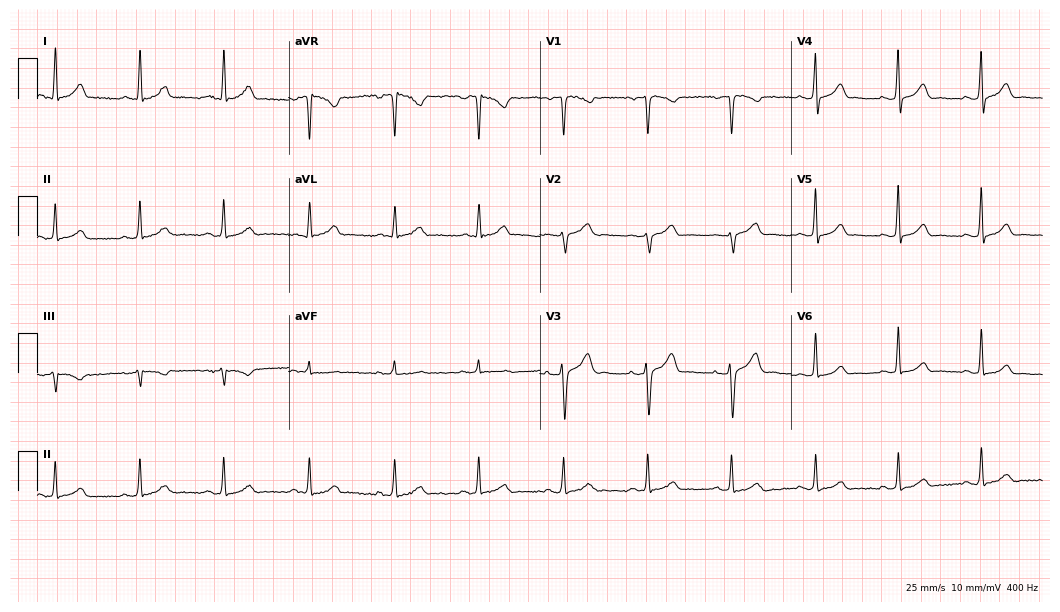
Standard 12-lead ECG recorded from a man, 42 years old (10.2-second recording at 400 Hz). Read as a normal ECG.